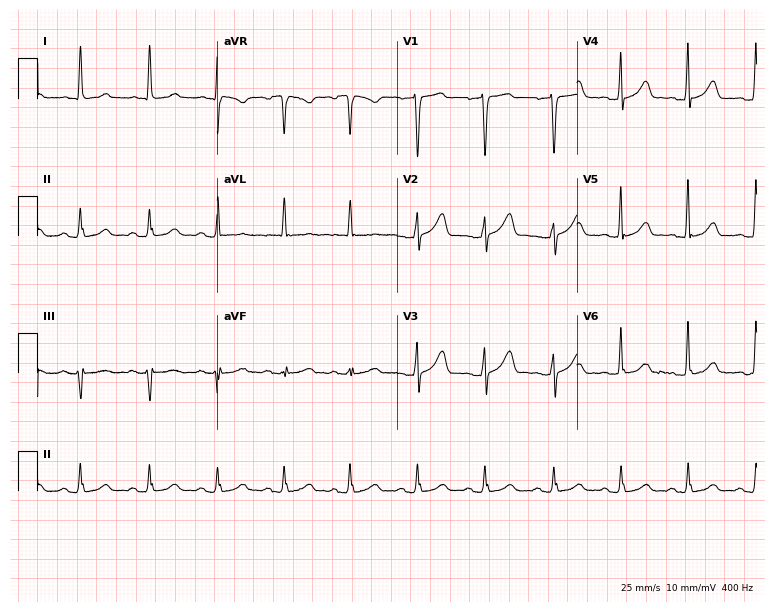
Resting 12-lead electrocardiogram. Patient: a female, 55 years old. None of these six findings is recorded: first-degree AV block, right bundle branch block, left bundle branch block, sinus bradycardia, atrial fibrillation, sinus tachycardia. Other findings, if any, are not listed.